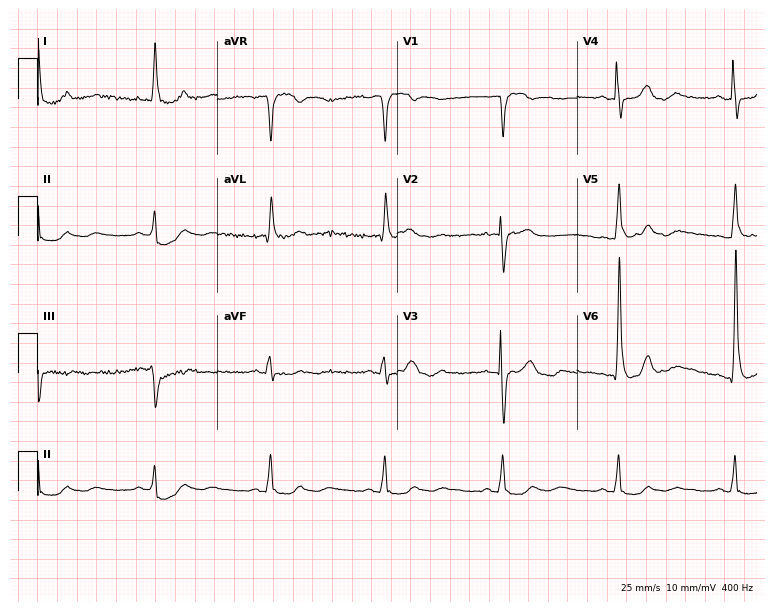
Electrocardiogram, a male, 79 years old. Interpretation includes sinus bradycardia (a sinus rate of 50 beats per minute or less).